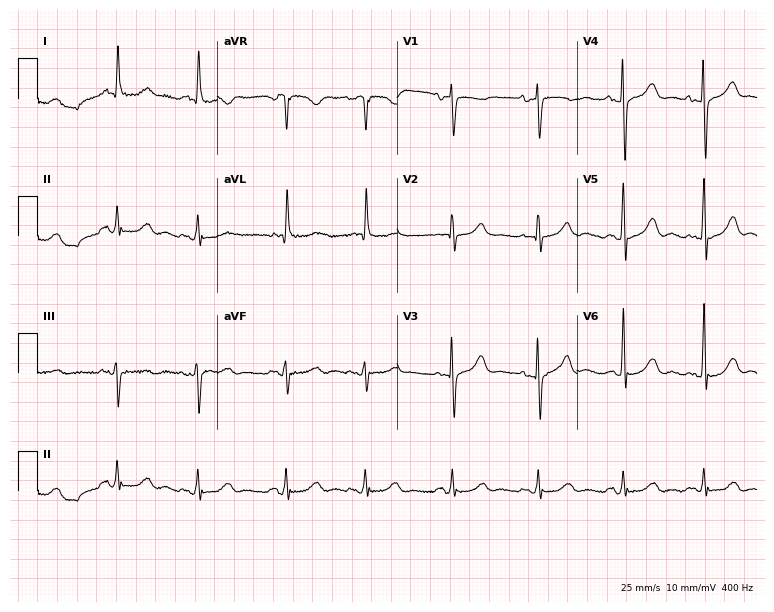
Resting 12-lead electrocardiogram. Patient: a female, 81 years old. None of these six findings is recorded: first-degree AV block, right bundle branch block, left bundle branch block, sinus bradycardia, atrial fibrillation, sinus tachycardia. Other findings, if any, are not listed.